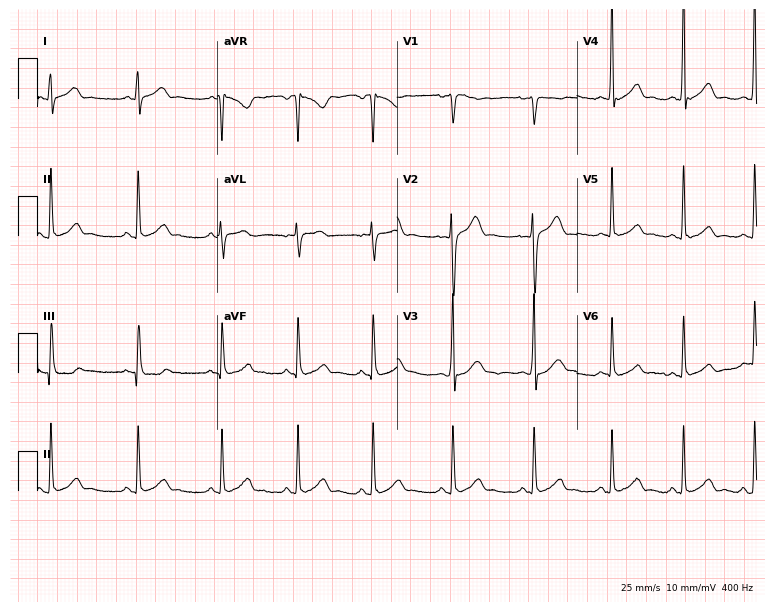
Standard 12-lead ECG recorded from a 22-year-old man (7.3-second recording at 400 Hz). Read as a normal ECG.